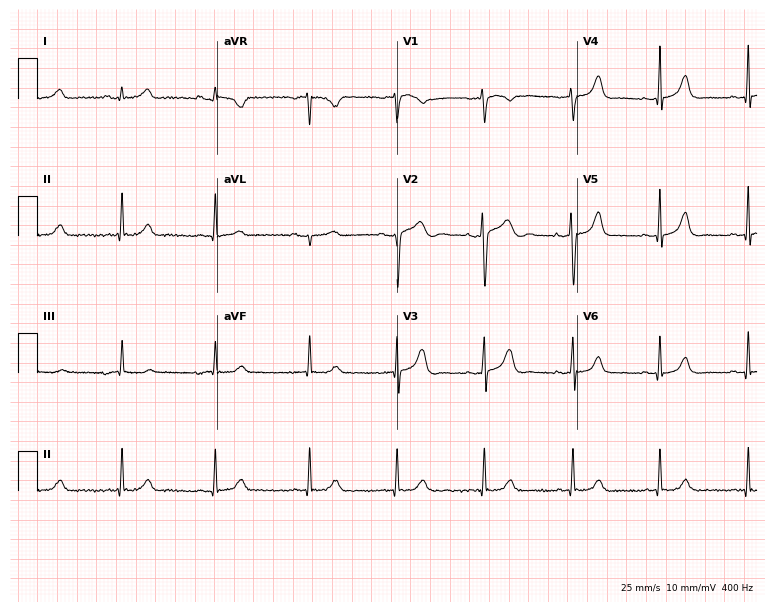
12-lead ECG from a female, 35 years old (7.3-second recording at 400 Hz). Recorded interpretation: within normal limits.